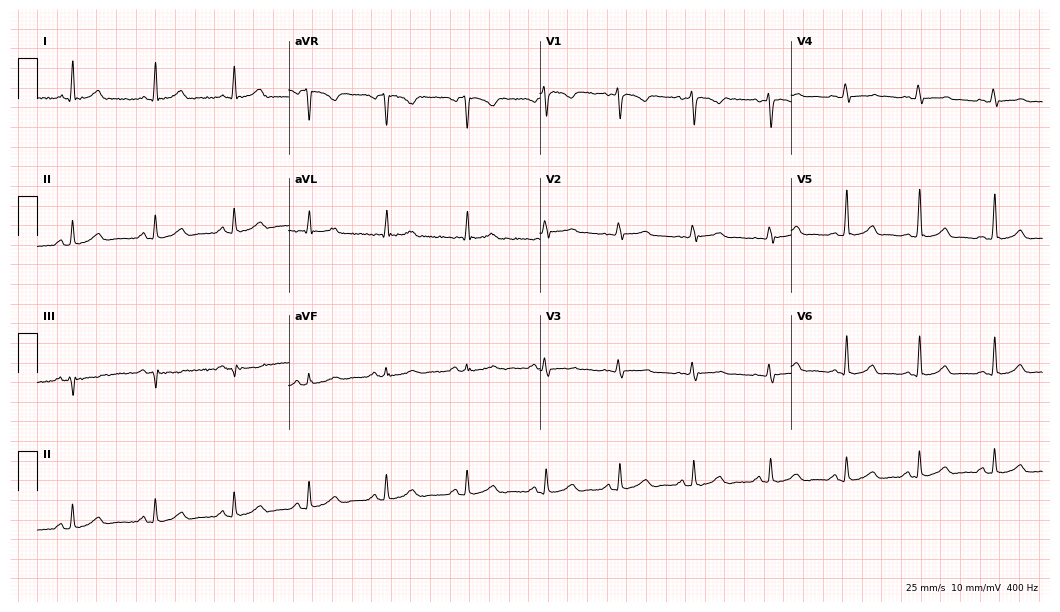
12-lead ECG from a female, 31 years old. Labelled as a normal ECG.